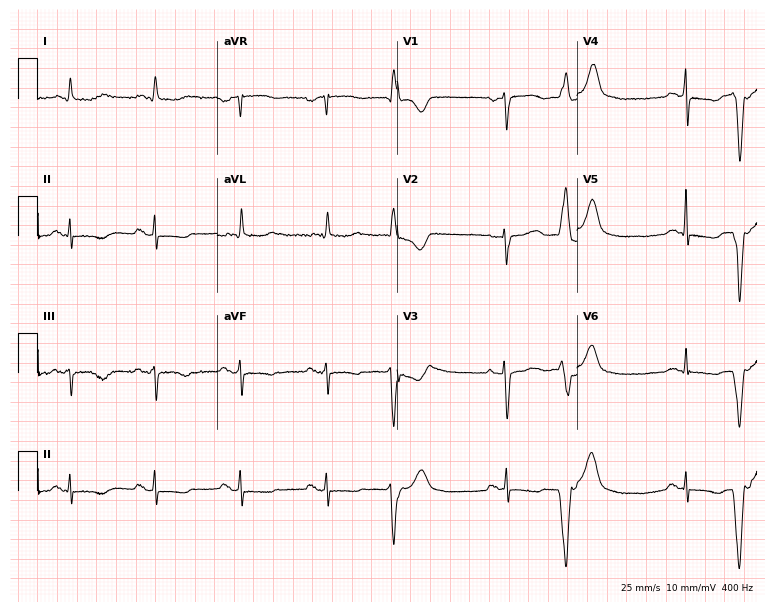
Resting 12-lead electrocardiogram. Patient: a female, 72 years old. Read as a normal ECG.